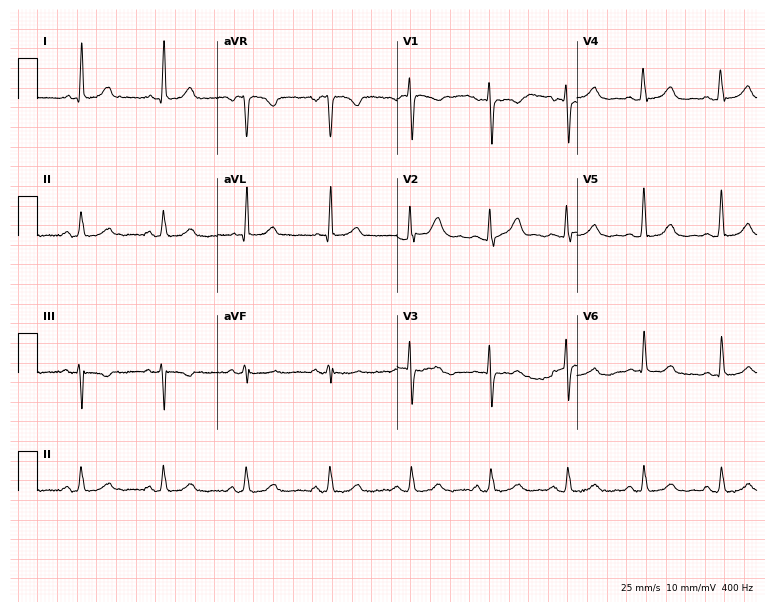
12-lead ECG from a 69-year-old woman. Recorded interpretation: within normal limits.